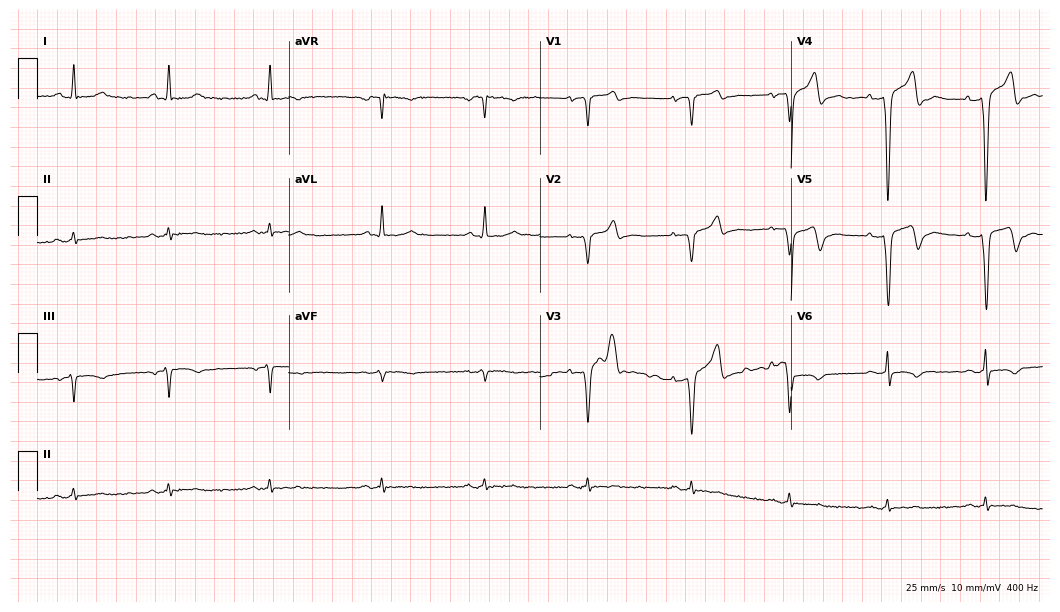
12-lead ECG from a 46-year-old man. Recorded interpretation: within normal limits.